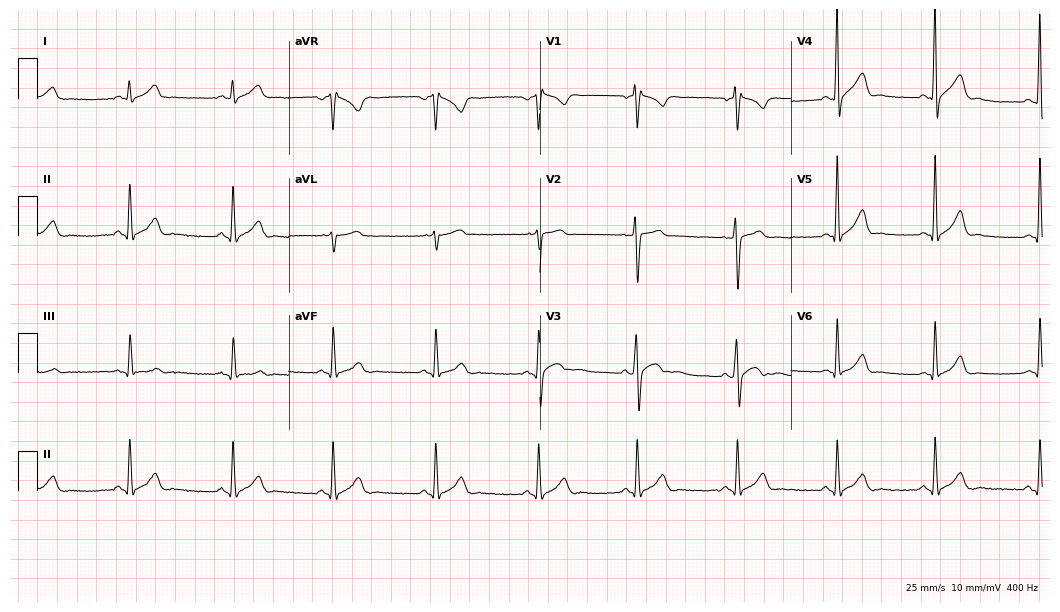
Electrocardiogram, a male, 39 years old. Overall reading on record: normal ECG.